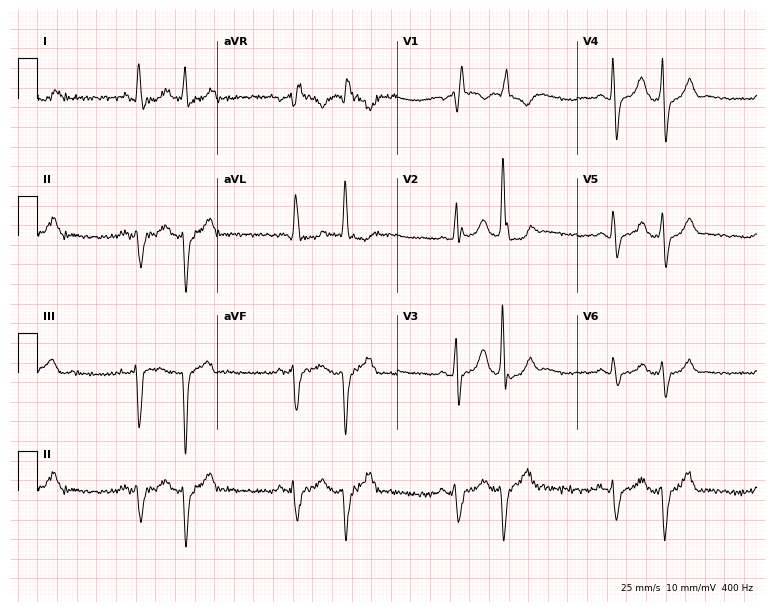
ECG (7.3-second recording at 400 Hz) — a 79-year-old female. Findings include right bundle branch block.